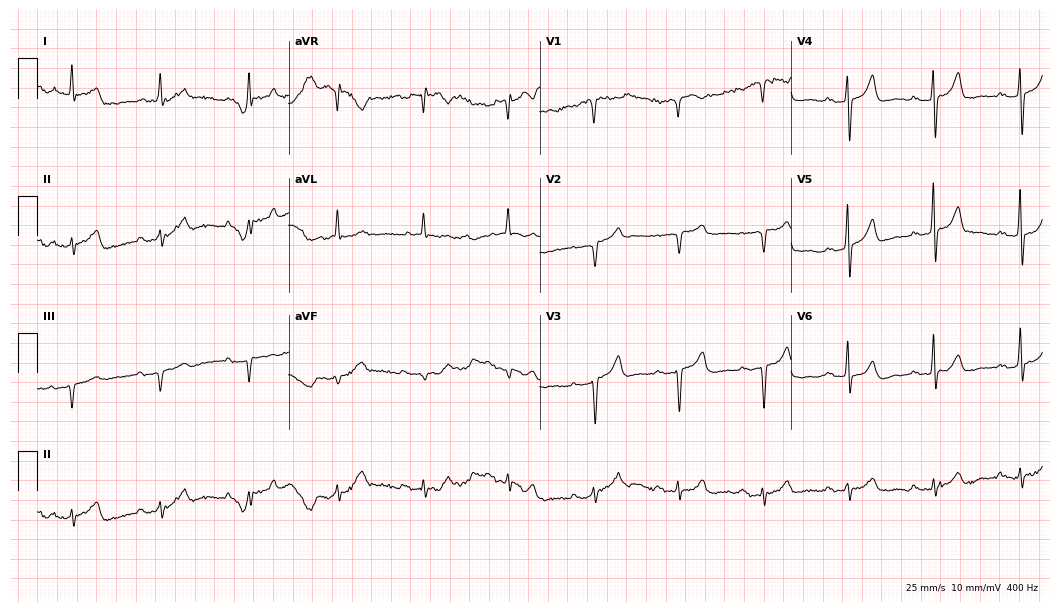
12-lead ECG (10.2-second recording at 400 Hz) from a male patient, 73 years old. Findings include first-degree AV block.